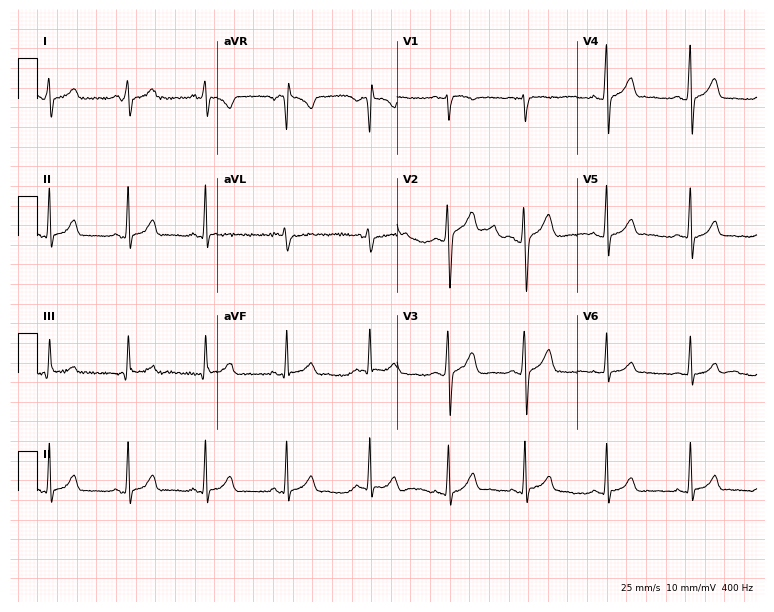
12-lead ECG from a female, 23 years old. Recorded interpretation: within normal limits.